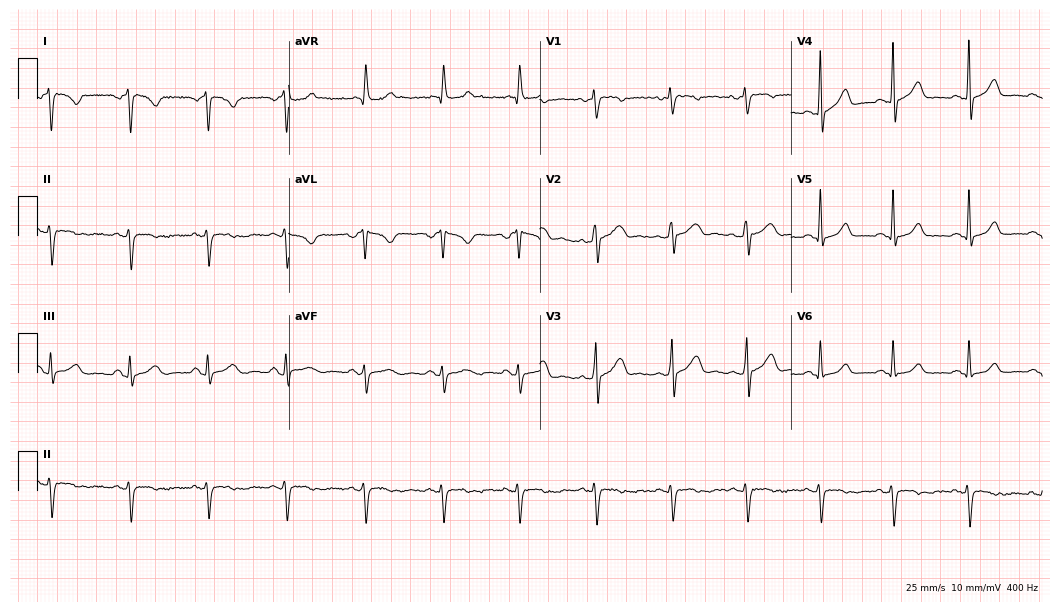
12-lead ECG from a 40-year-old woman. No first-degree AV block, right bundle branch block, left bundle branch block, sinus bradycardia, atrial fibrillation or sinus tachycardia recorded for this tracing.